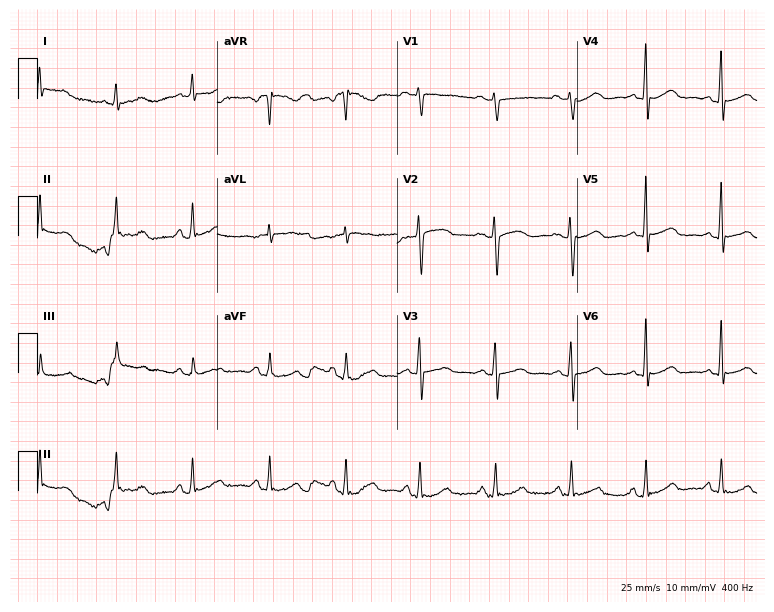
Electrocardiogram, a 52-year-old female patient. Of the six screened findings (first-degree AV block, right bundle branch block (RBBB), left bundle branch block (LBBB), sinus bradycardia, atrial fibrillation (AF), sinus tachycardia), none is recorded.